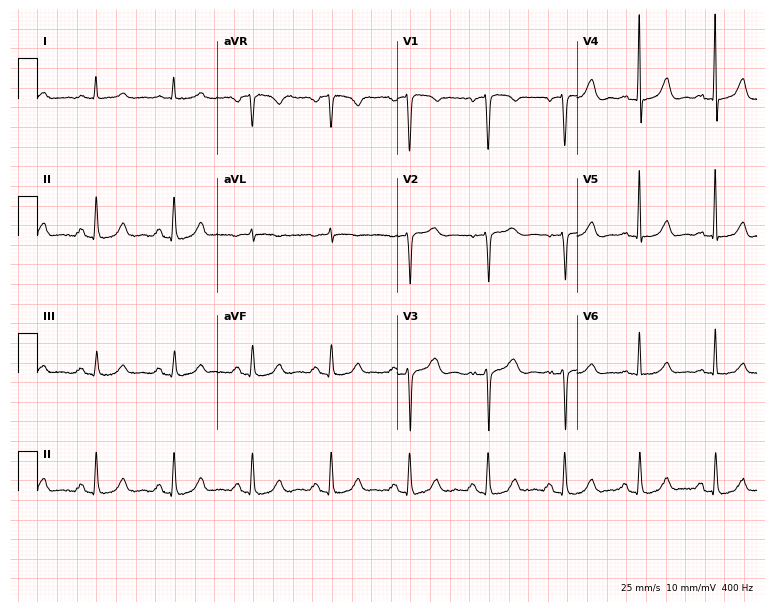
12-lead ECG from a female patient, 67 years old. No first-degree AV block, right bundle branch block (RBBB), left bundle branch block (LBBB), sinus bradycardia, atrial fibrillation (AF) or sinus tachycardia recorded for this tracing.